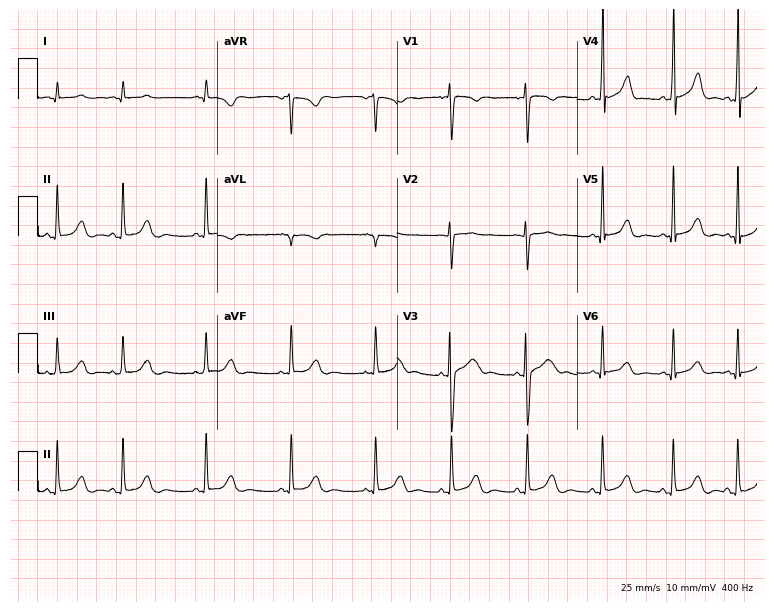
Resting 12-lead electrocardiogram. Patient: a female, 21 years old. None of these six findings is recorded: first-degree AV block, right bundle branch block (RBBB), left bundle branch block (LBBB), sinus bradycardia, atrial fibrillation (AF), sinus tachycardia. Findings outside these six are not listed.